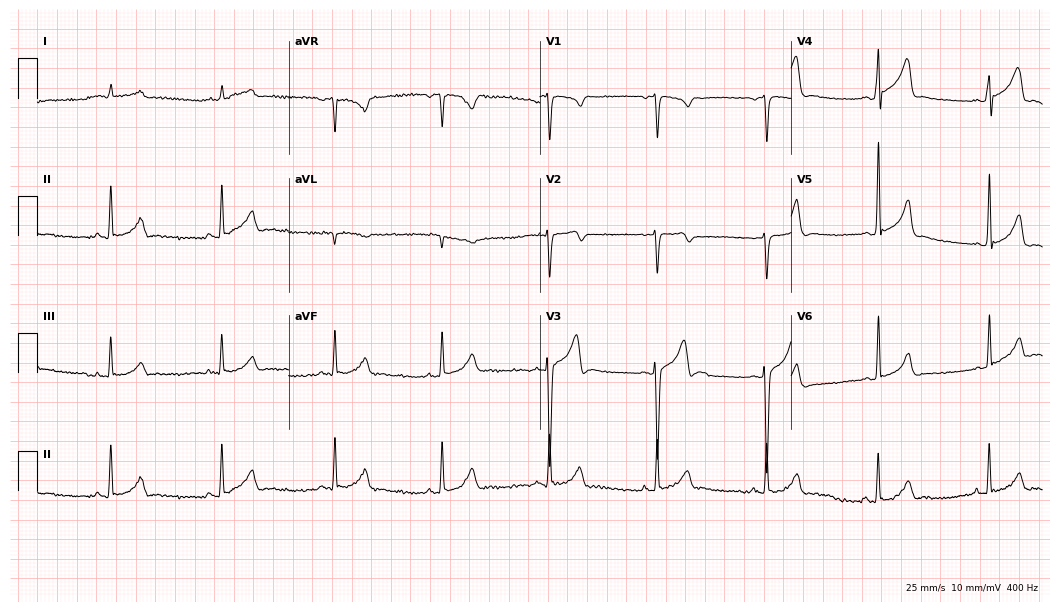
Electrocardiogram, a male patient, 33 years old. Of the six screened findings (first-degree AV block, right bundle branch block, left bundle branch block, sinus bradycardia, atrial fibrillation, sinus tachycardia), none is recorded. Only these six findings were labelled.